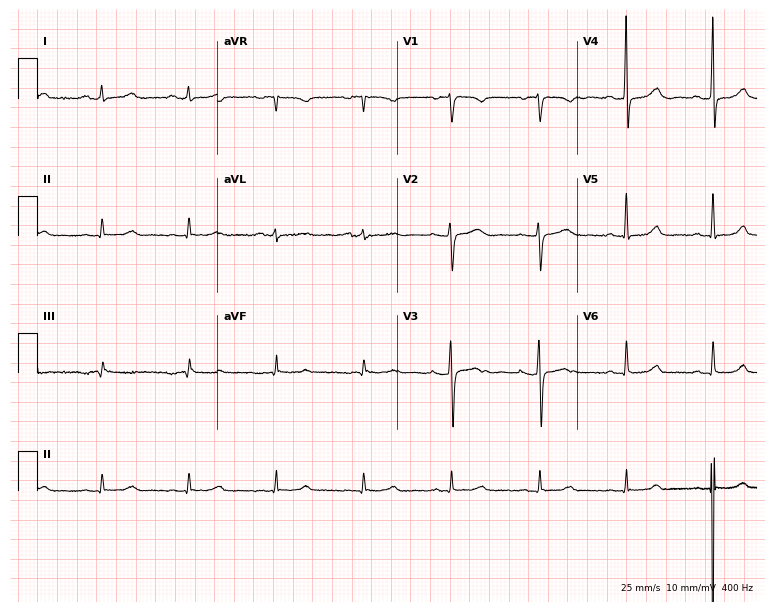
ECG (7.3-second recording at 400 Hz) — a 55-year-old woman. Labelled as a normal ECG.